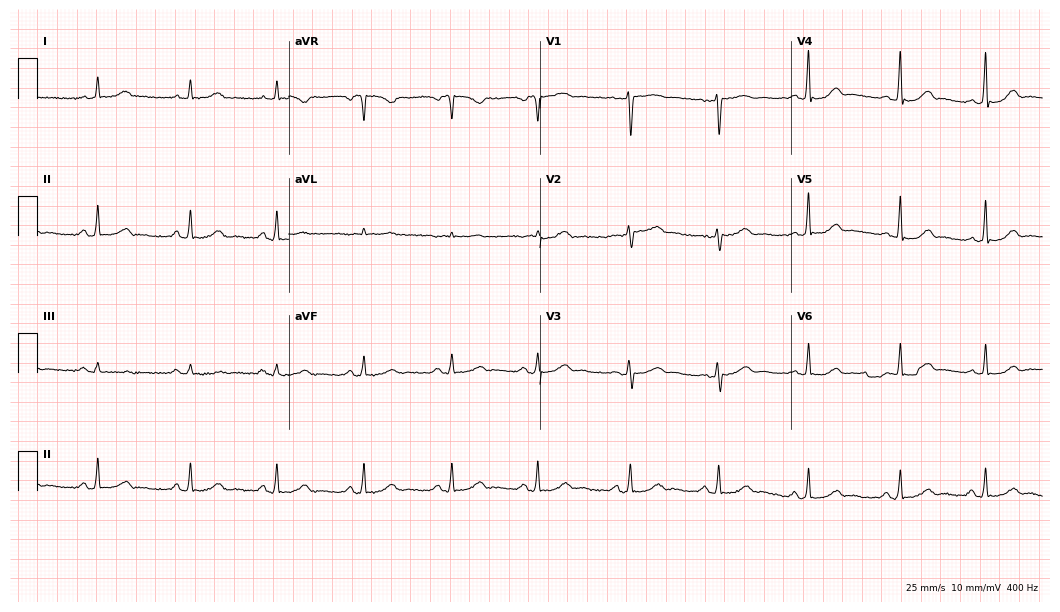
ECG — a 40-year-old female patient. Labelled as a normal ECG.